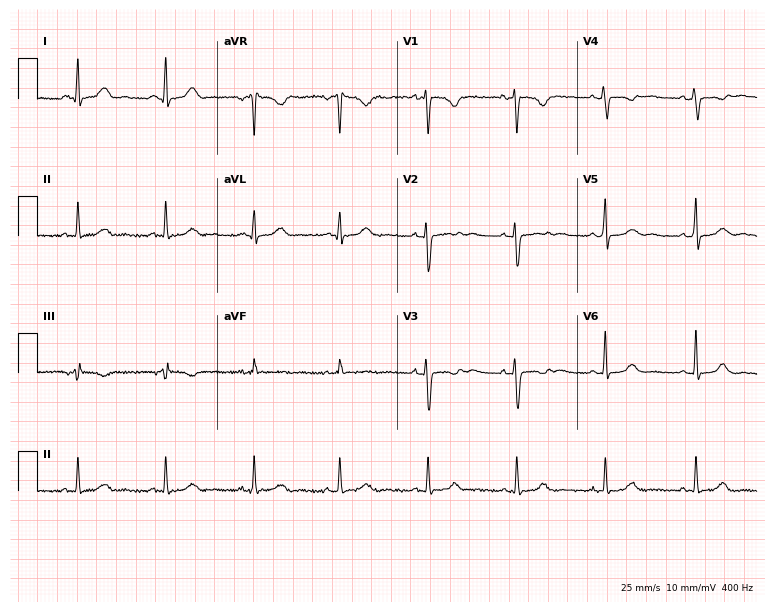
Standard 12-lead ECG recorded from a female patient, 43 years old. None of these six findings is recorded: first-degree AV block, right bundle branch block (RBBB), left bundle branch block (LBBB), sinus bradycardia, atrial fibrillation (AF), sinus tachycardia.